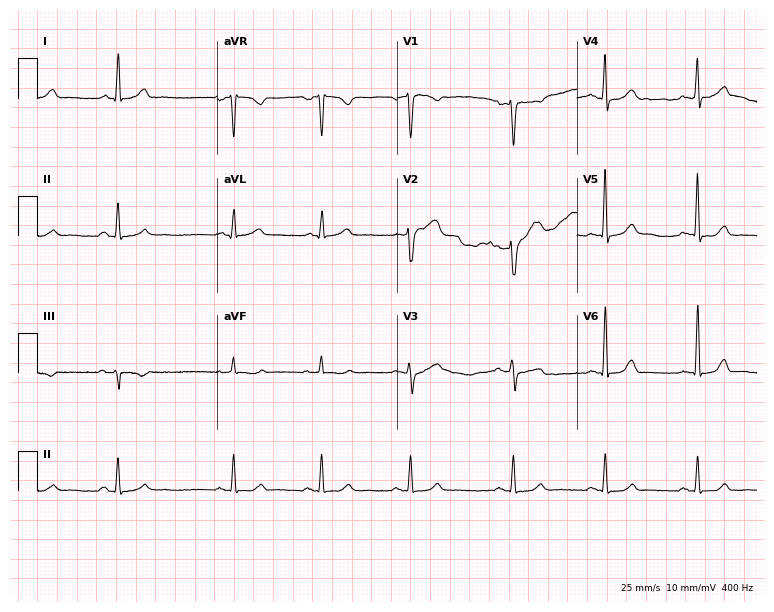
Electrocardiogram (7.3-second recording at 400 Hz), a 46-year-old woman. Of the six screened findings (first-degree AV block, right bundle branch block, left bundle branch block, sinus bradycardia, atrial fibrillation, sinus tachycardia), none is recorded.